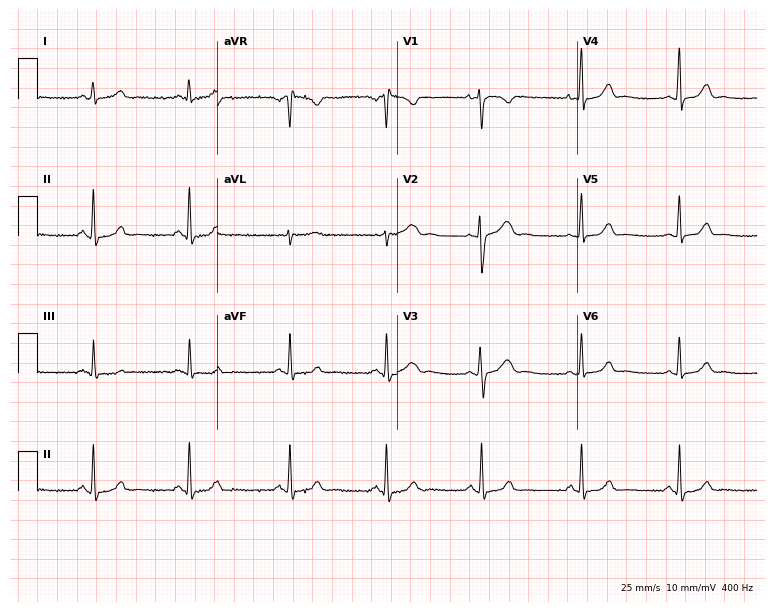
ECG (7.3-second recording at 400 Hz) — a 24-year-old woman. Labelled as a normal ECG.